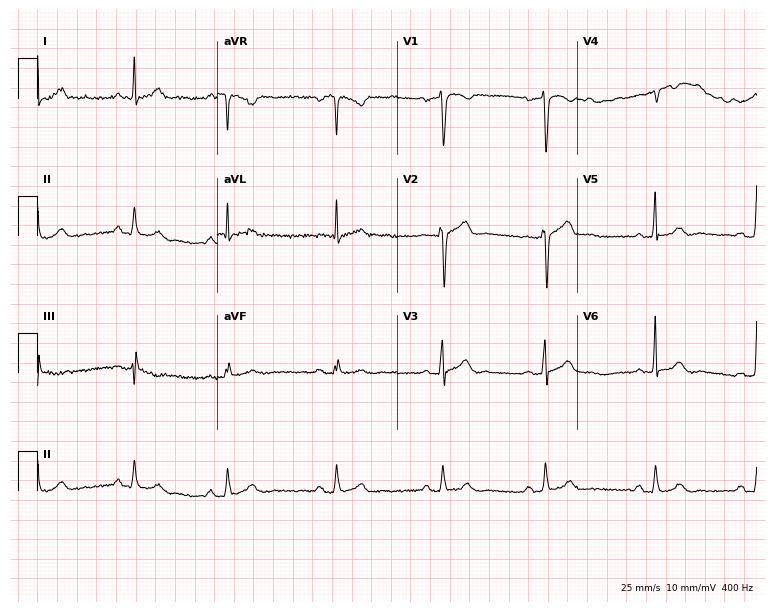
ECG (7.3-second recording at 400 Hz) — a 51-year-old male. Labelled as a normal ECG.